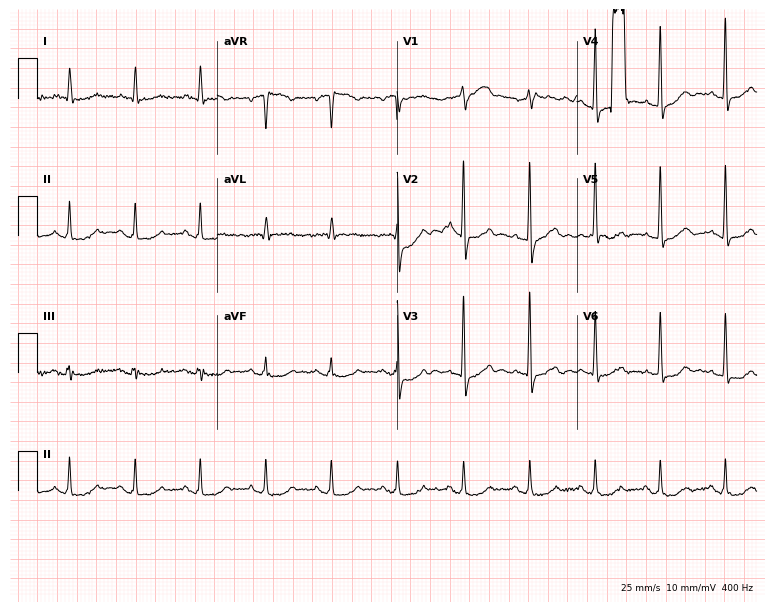
12-lead ECG (7.3-second recording at 400 Hz) from an 84-year-old male patient. Labelled as a normal ECG.